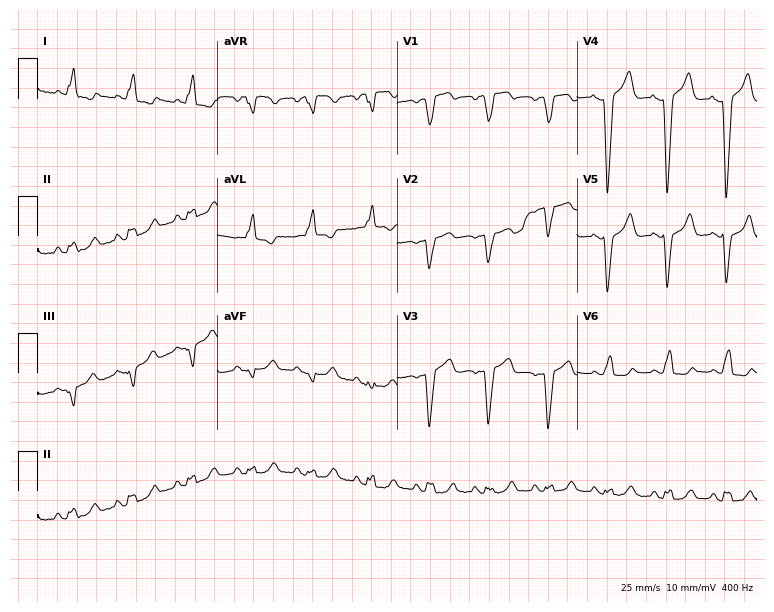
12-lead ECG from a female patient, 68 years old (7.3-second recording at 400 Hz). Shows left bundle branch block (LBBB).